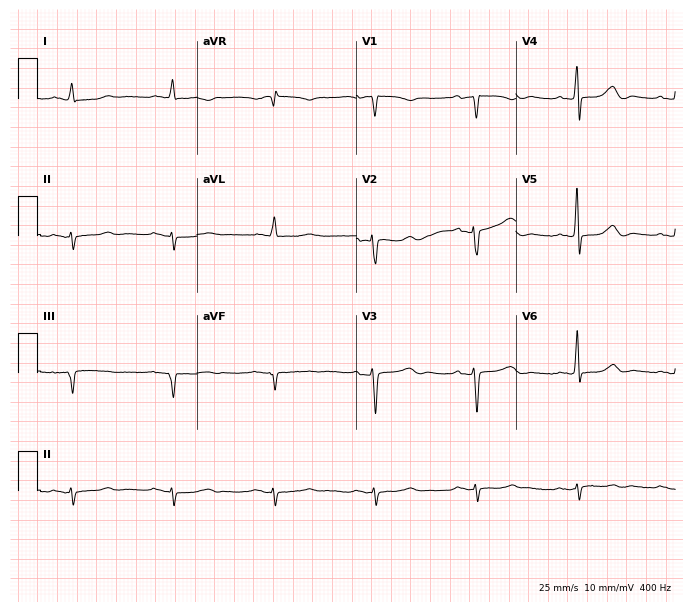
Resting 12-lead electrocardiogram (6.5-second recording at 400 Hz). Patient: a 73-year-old woman. None of these six findings is recorded: first-degree AV block, right bundle branch block, left bundle branch block, sinus bradycardia, atrial fibrillation, sinus tachycardia.